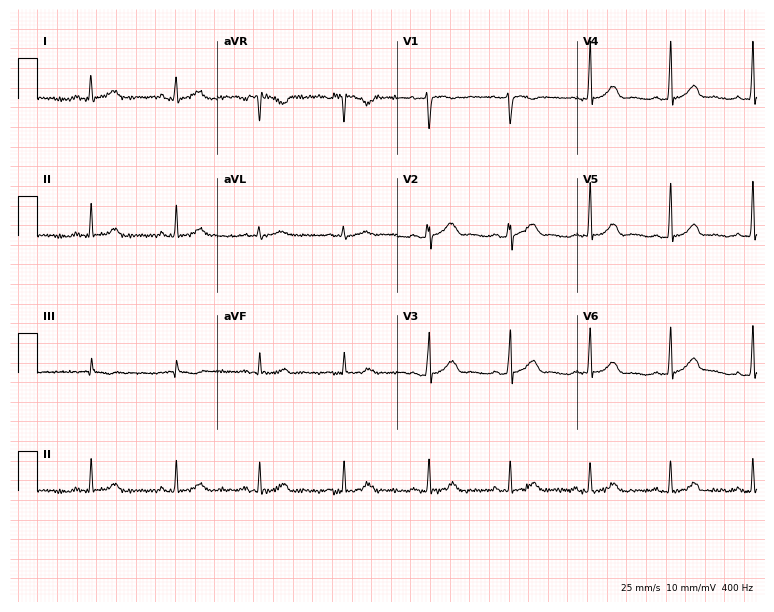
Standard 12-lead ECG recorded from a 35-year-old woman (7.3-second recording at 400 Hz). None of these six findings is recorded: first-degree AV block, right bundle branch block, left bundle branch block, sinus bradycardia, atrial fibrillation, sinus tachycardia.